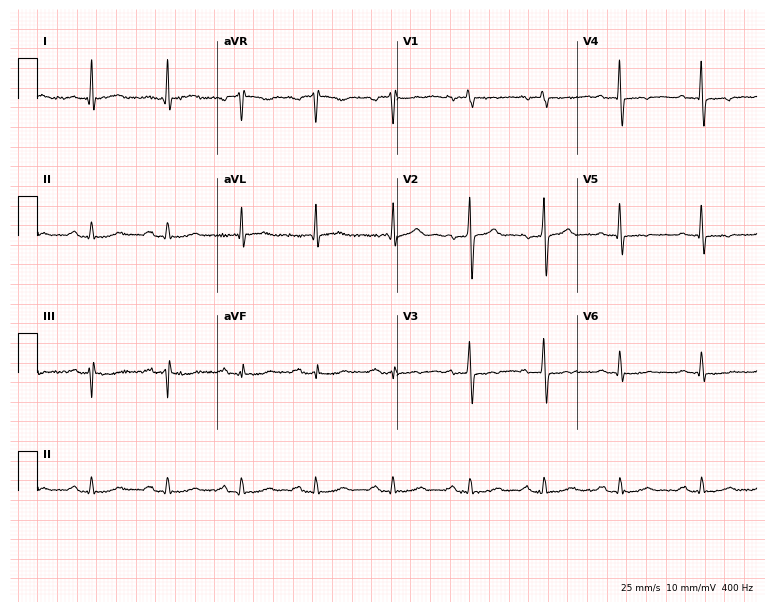
Electrocardiogram, a 65-year-old male patient. Of the six screened findings (first-degree AV block, right bundle branch block (RBBB), left bundle branch block (LBBB), sinus bradycardia, atrial fibrillation (AF), sinus tachycardia), none is recorded.